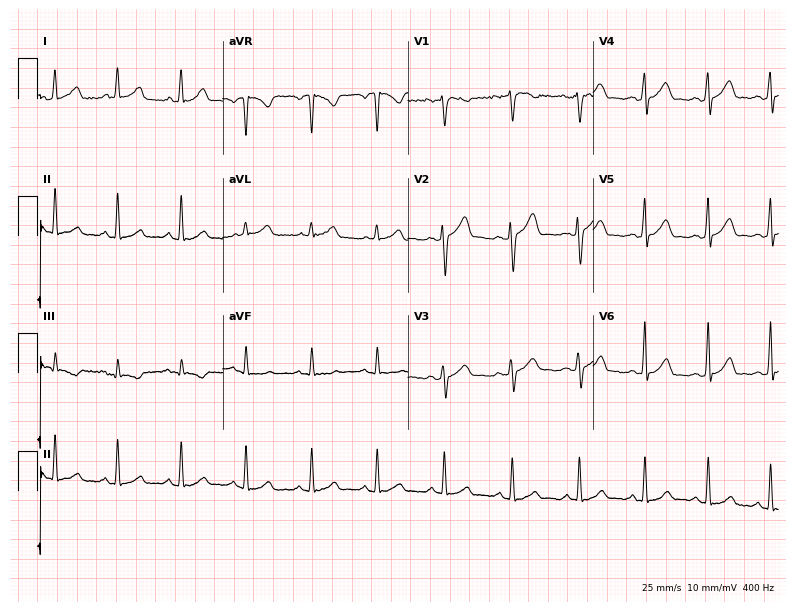
Standard 12-lead ECG recorded from a male patient, 30 years old (7.6-second recording at 400 Hz). None of these six findings is recorded: first-degree AV block, right bundle branch block, left bundle branch block, sinus bradycardia, atrial fibrillation, sinus tachycardia. Findings outside these six are not listed.